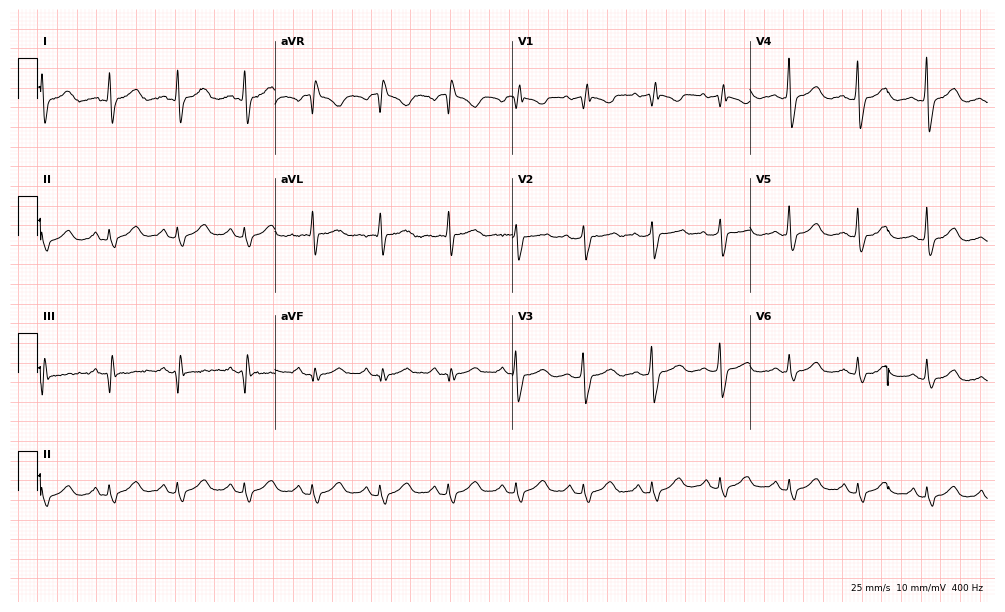
Standard 12-lead ECG recorded from a 70-year-old female patient (9.7-second recording at 400 Hz). The tracing shows right bundle branch block.